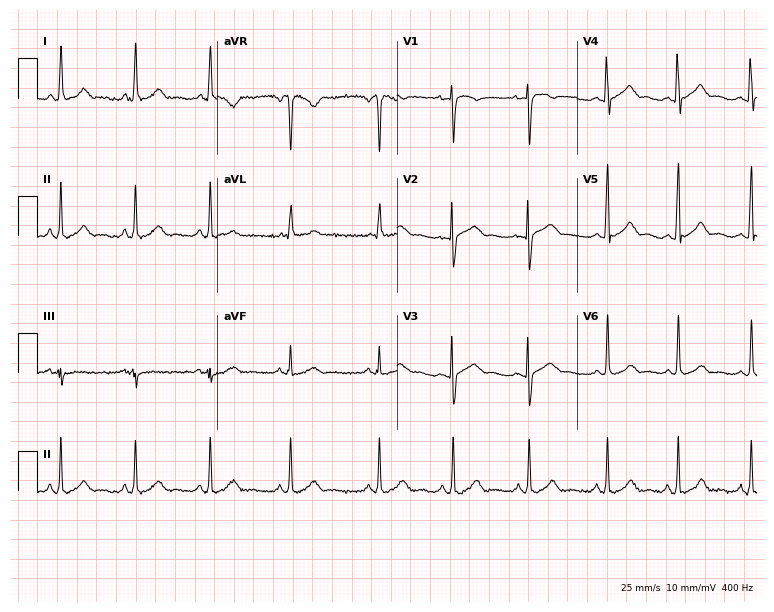
Resting 12-lead electrocardiogram. Patient: a 37-year-old female. Read as a normal ECG.